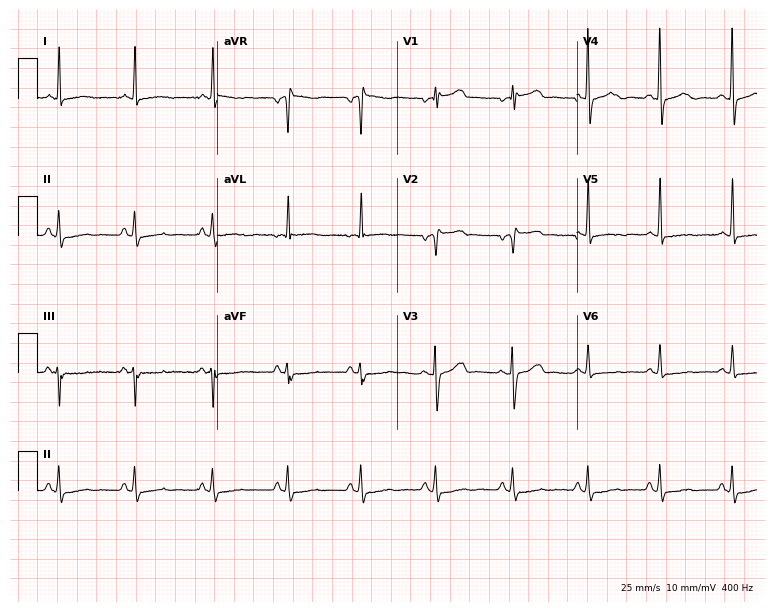
ECG (7.3-second recording at 400 Hz) — a female, 65 years old. Screened for six findings — first-degree AV block, right bundle branch block (RBBB), left bundle branch block (LBBB), sinus bradycardia, atrial fibrillation (AF), sinus tachycardia — none is recorded.